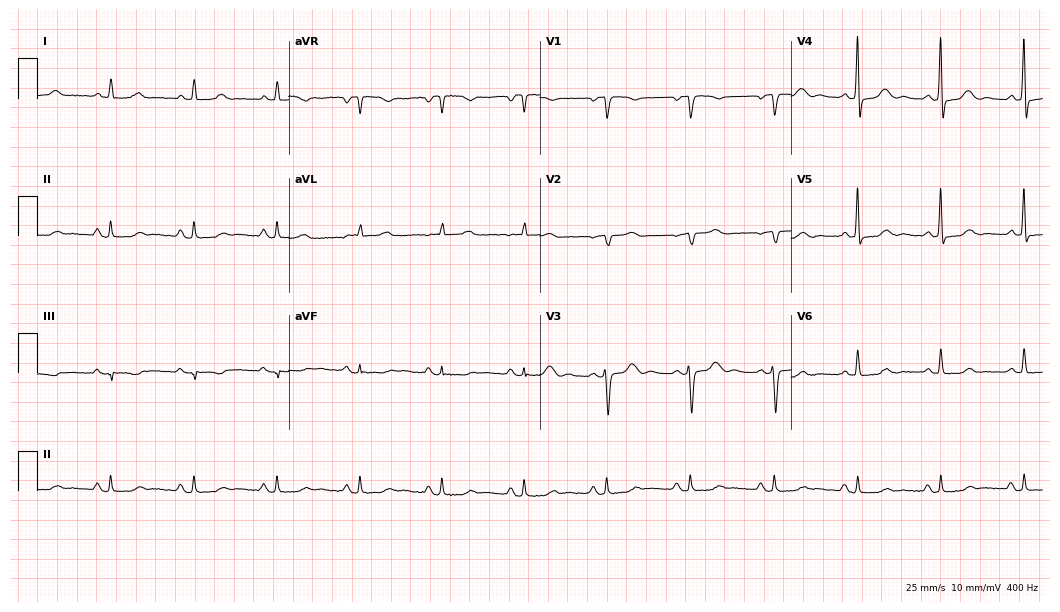
Resting 12-lead electrocardiogram. Patient: a female, 67 years old. Read as a normal ECG.